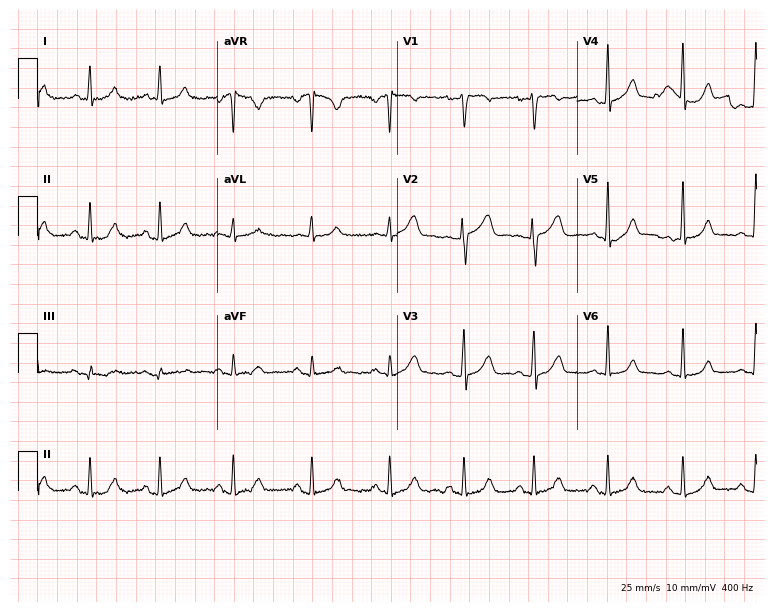
Electrocardiogram, a woman, 25 years old. Of the six screened findings (first-degree AV block, right bundle branch block, left bundle branch block, sinus bradycardia, atrial fibrillation, sinus tachycardia), none is recorded. Only these six findings were labelled.